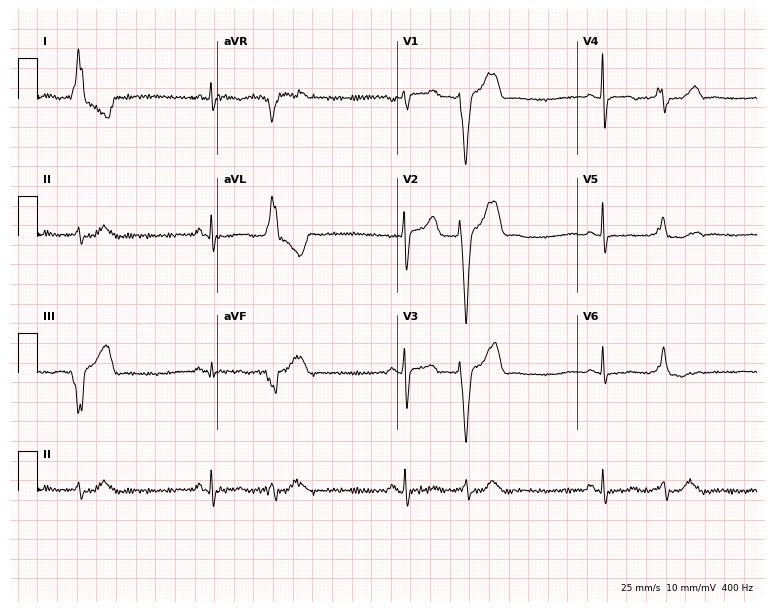
12-lead ECG from a 67-year-old female (7.3-second recording at 400 Hz). No first-degree AV block, right bundle branch block, left bundle branch block, sinus bradycardia, atrial fibrillation or sinus tachycardia recorded for this tracing.